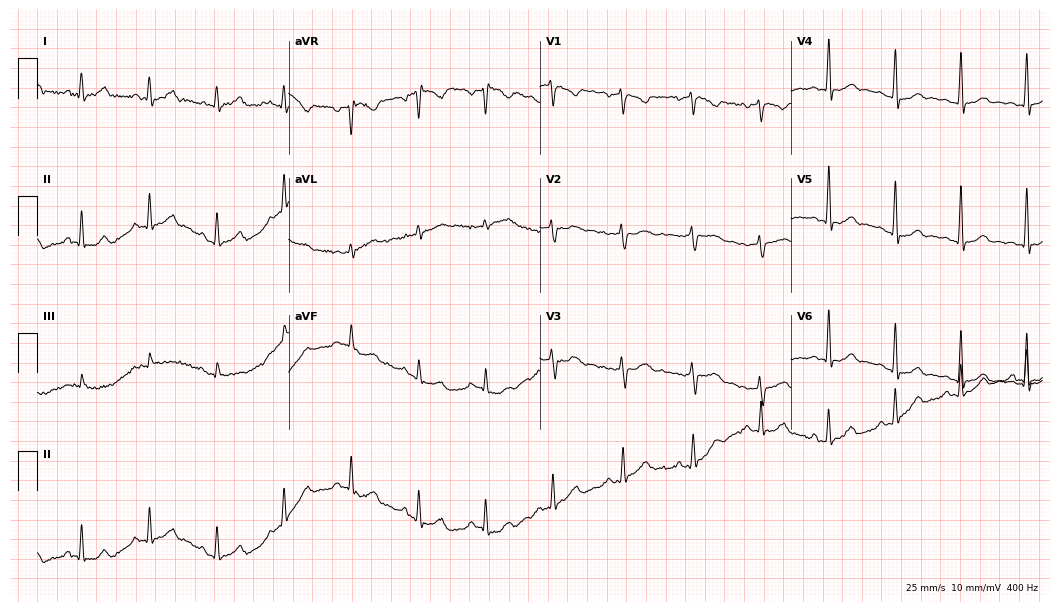
12-lead ECG (10.2-second recording at 400 Hz) from a 39-year-old female patient. Screened for six findings — first-degree AV block, right bundle branch block, left bundle branch block, sinus bradycardia, atrial fibrillation, sinus tachycardia — none is recorded. Findings outside these six are not listed.